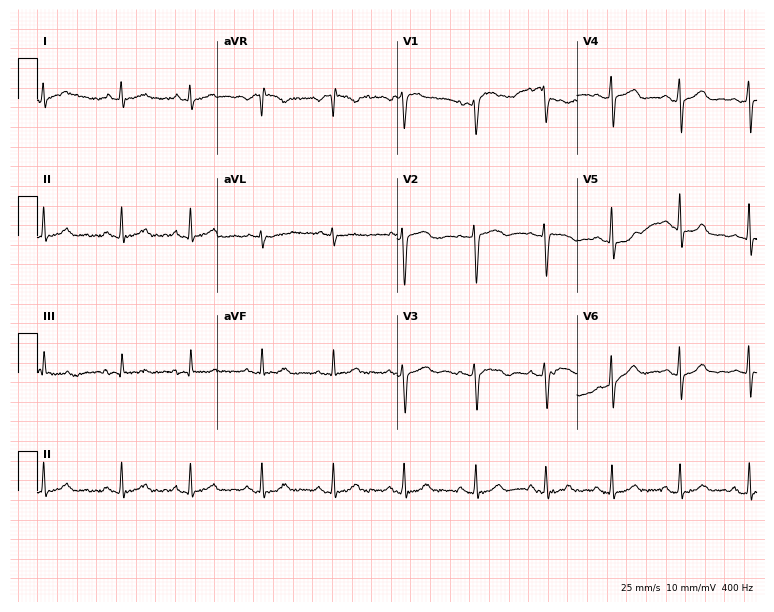
Resting 12-lead electrocardiogram. Patient: a female, 28 years old. Read as a normal ECG.